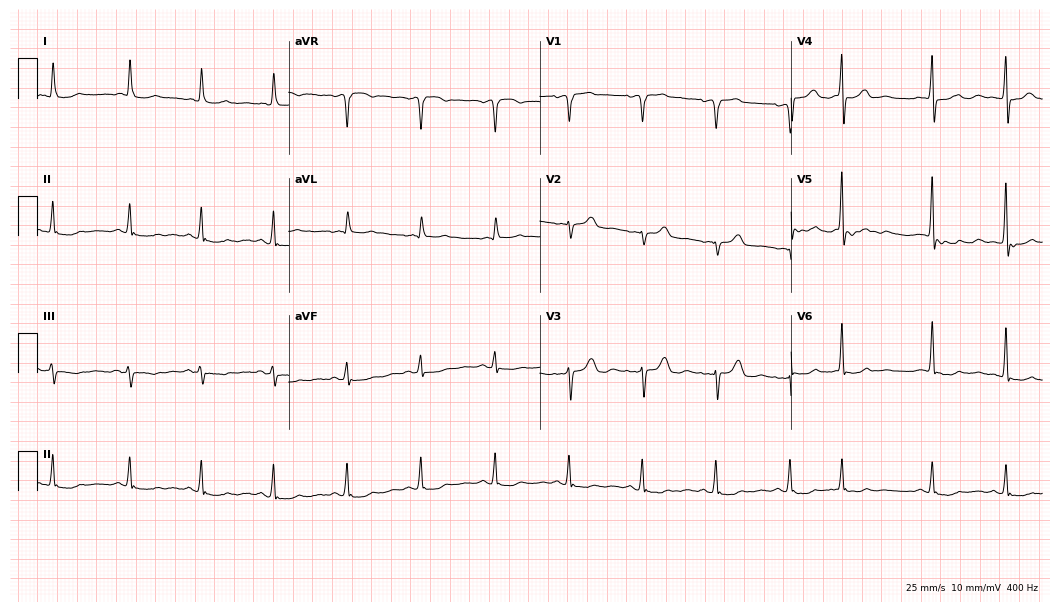
Electrocardiogram, a 75-year-old female patient. Of the six screened findings (first-degree AV block, right bundle branch block, left bundle branch block, sinus bradycardia, atrial fibrillation, sinus tachycardia), none is recorded.